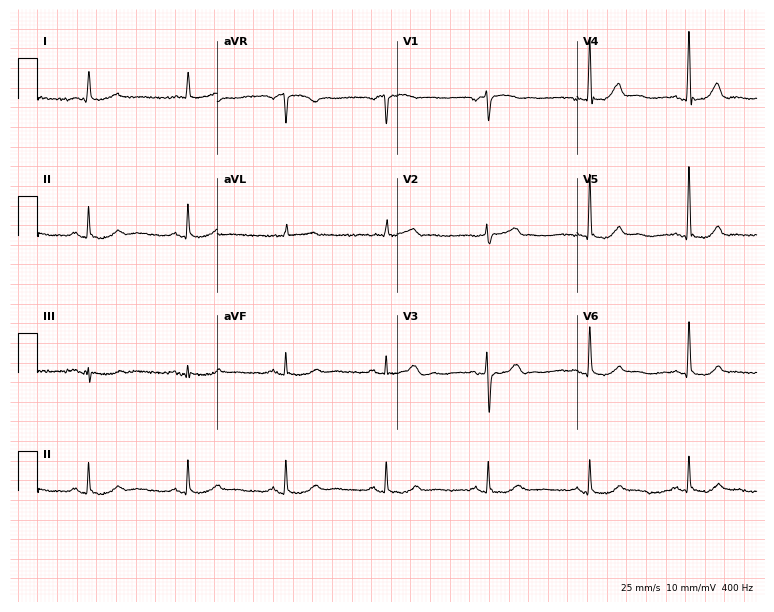
Standard 12-lead ECG recorded from a 74-year-old woman. None of these six findings is recorded: first-degree AV block, right bundle branch block (RBBB), left bundle branch block (LBBB), sinus bradycardia, atrial fibrillation (AF), sinus tachycardia. Findings outside these six are not listed.